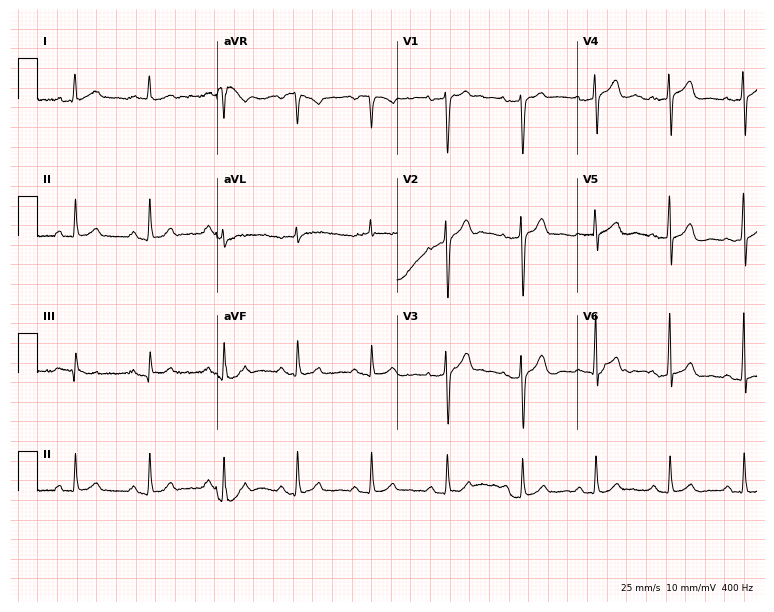
Electrocardiogram (7.3-second recording at 400 Hz), a 70-year-old male. Of the six screened findings (first-degree AV block, right bundle branch block (RBBB), left bundle branch block (LBBB), sinus bradycardia, atrial fibrillation (AF), sinus tachycardia), none is recorded. Findings outside these six are not listed.